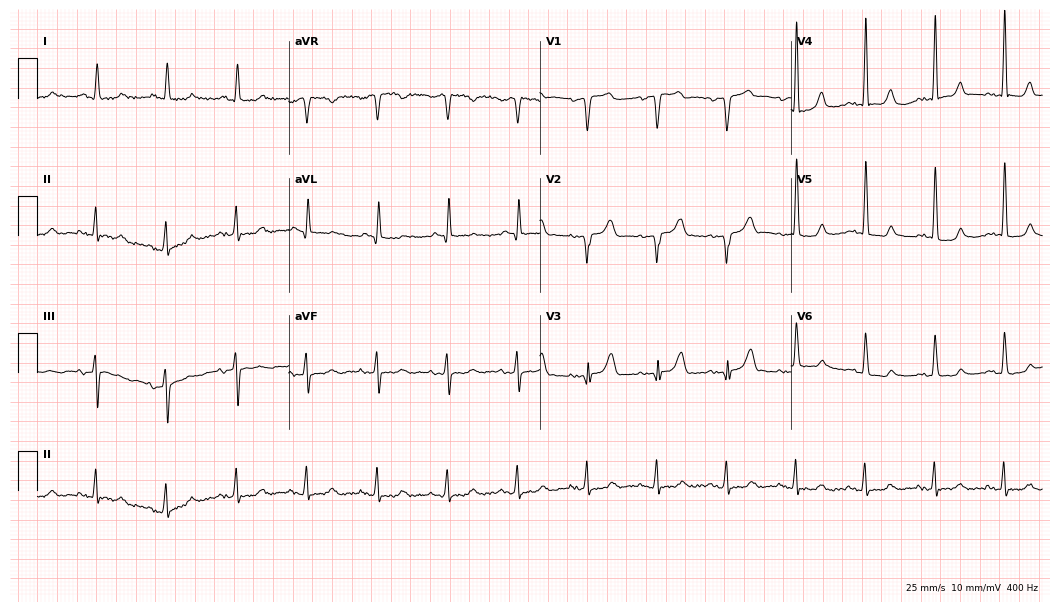
12-lead ECG from a male, 75 years old. No first-degree AV block, right bundle branch block (RBBB), left bundle branch block (LBBB), sinus bradycardia, atrial fibrillation (AF) or sinus tachycardia recorded for this tracing.